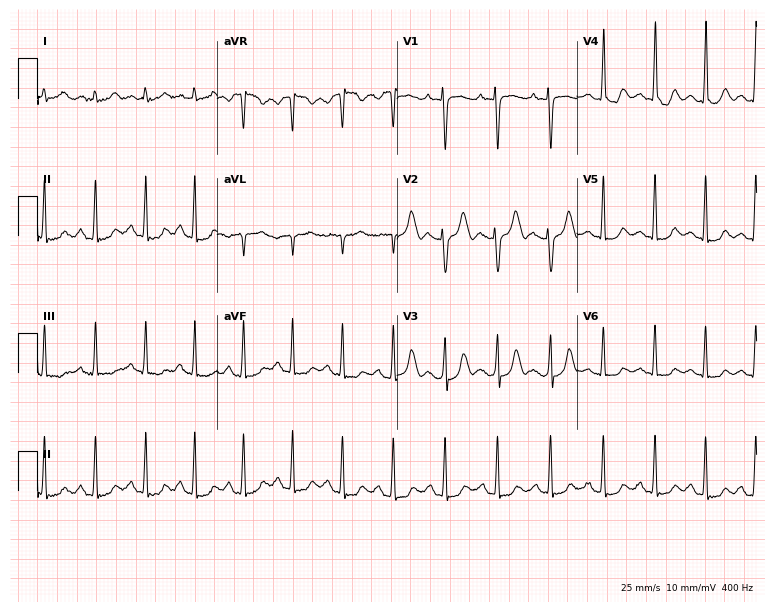
Electrocardiogram, a 28-year-old female patient. Interpretation includes sinus tachycardia (a sinus rate of 100 beats per minute or more).